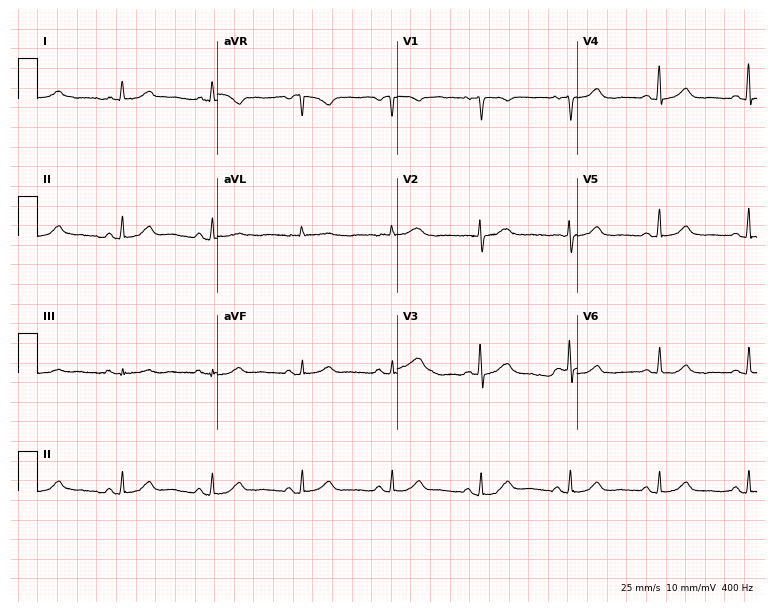
ECG — a 78-year-old woman. Labelled as a normal ECG.